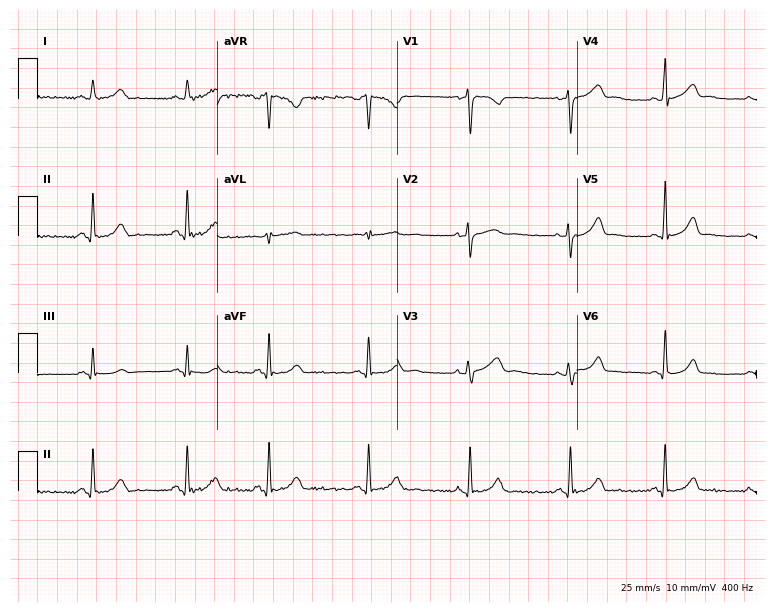
Resting 12-lead electrocardiogram. Patient: a woman, 25 years old. None of these six findings is recorded: first-degree AV block, right bundle branch block, left bundle branch block, sinus bradycardia, atrial fibrillation, sinus tachycardia.